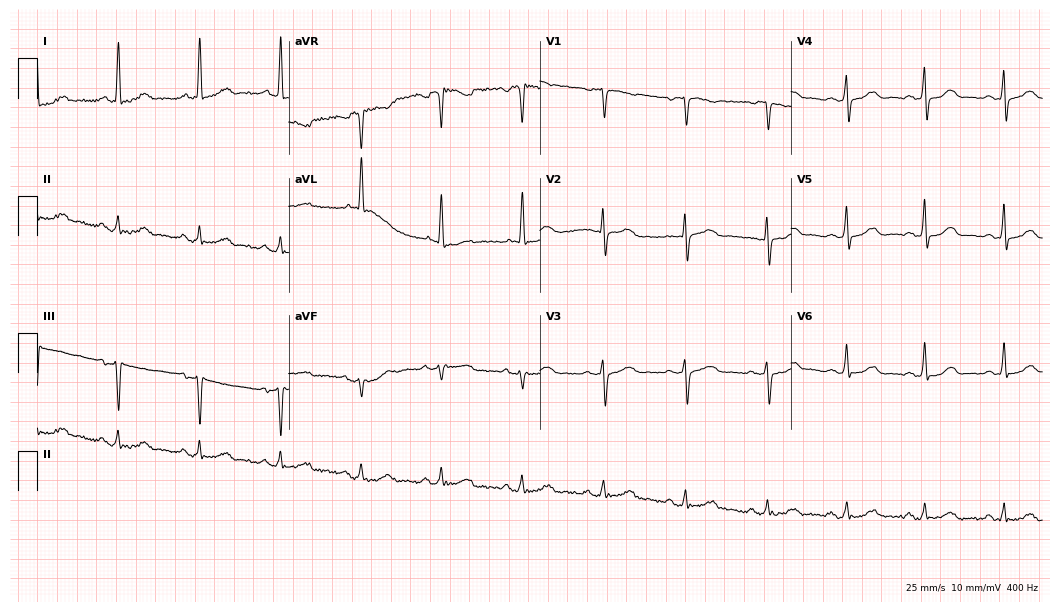
12-lead ECG from a 72-year-old woman. No first-degree AV block, right bundle branch block, left bundle branch block, sinus bradycardia, atrial fibrillation or sinus tachycardia recorded for this tracing.